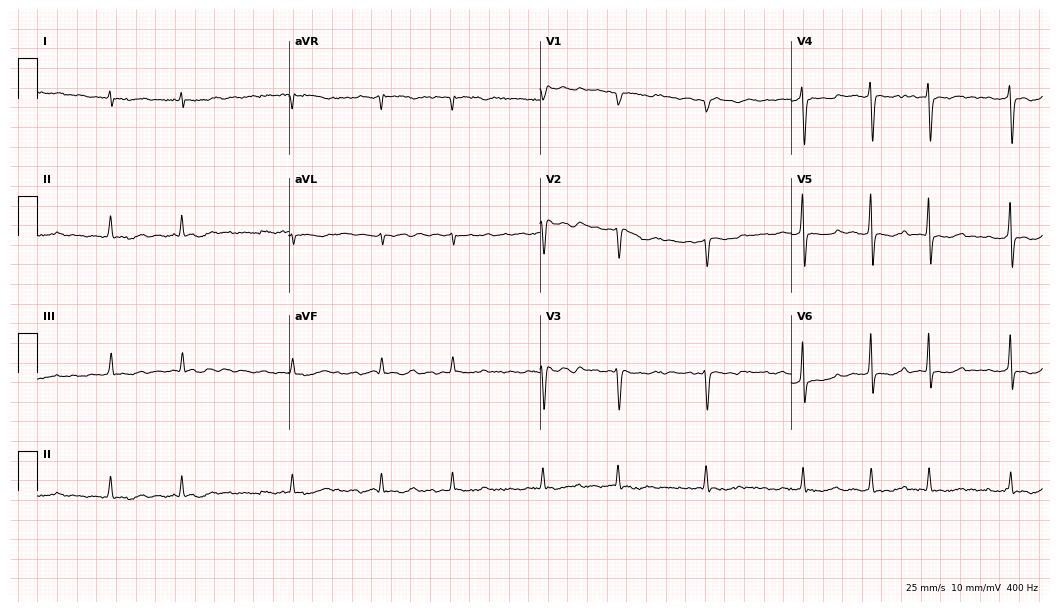
12-lead ECG from a female, 81 years old. Findings include atrial fibrillation.